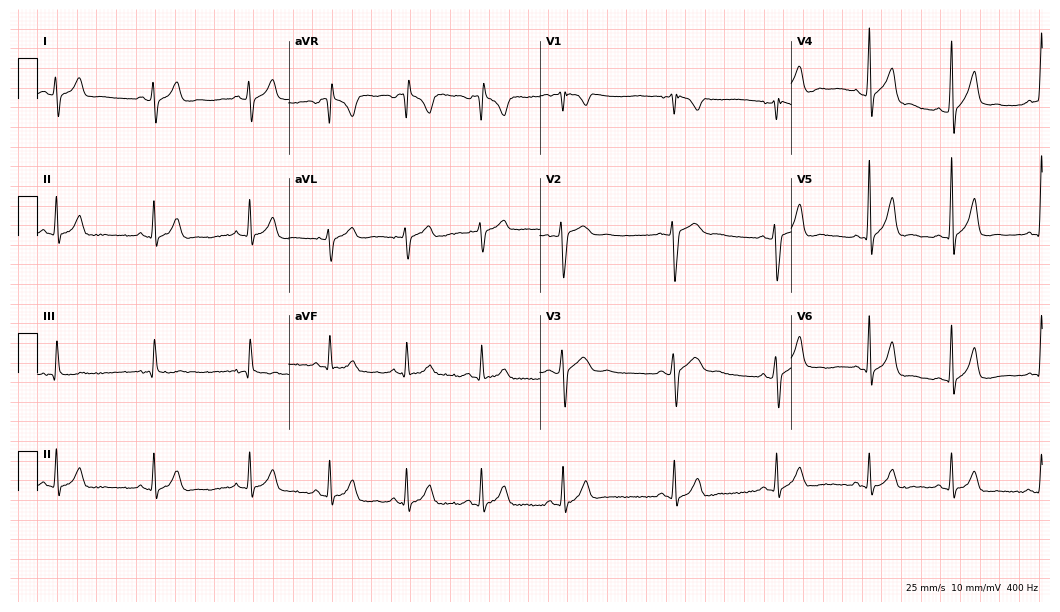
12-lead ECG from a man, 23 years old (10.2-second recording at 400 Hz). No first-degree AV block, right bundle branch block, left bundle branch block, sinus bradycardia, atrial fibrillation or sinus tachycardia recorded for this tracing. Other findings, if any, are not listed.